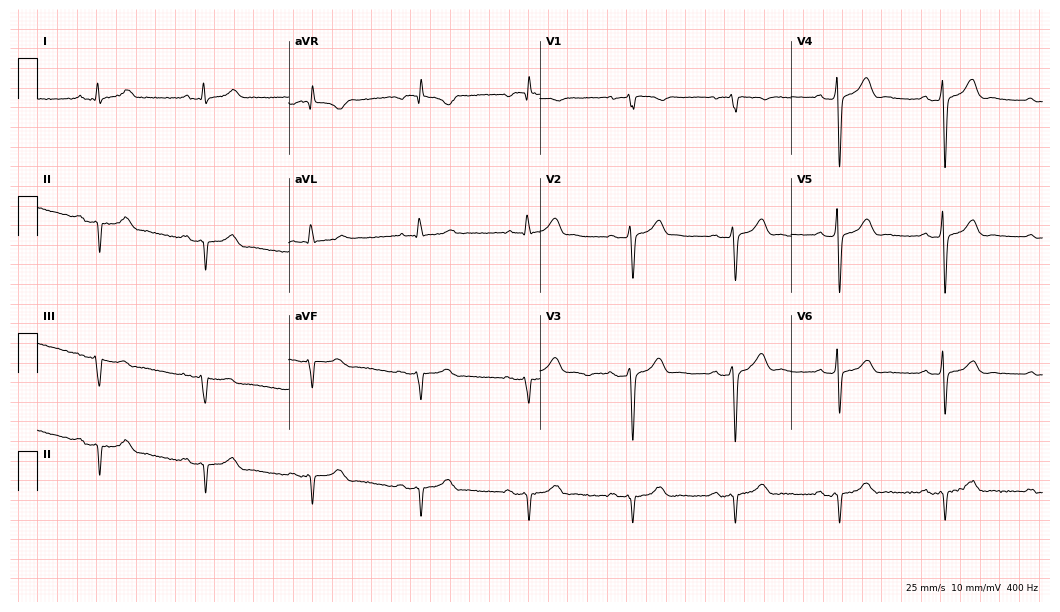
Electrocardiogram, a male, 65 years old. Of the six screened findings (first-degree AV block, right bundle branch block, left bundle branch block, sinus bradycardia, atrial fibrillation, sinus tachycardia), none is recorded.